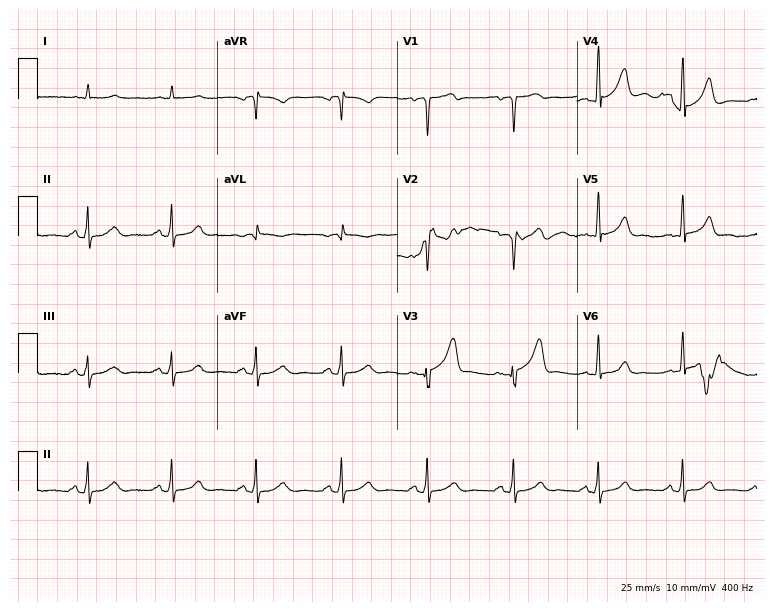
Resting 12-lead electrocardiogram (7.3-second recording at 400 Hz). Patient: a 57-year-old male. Read as a normal ECG.